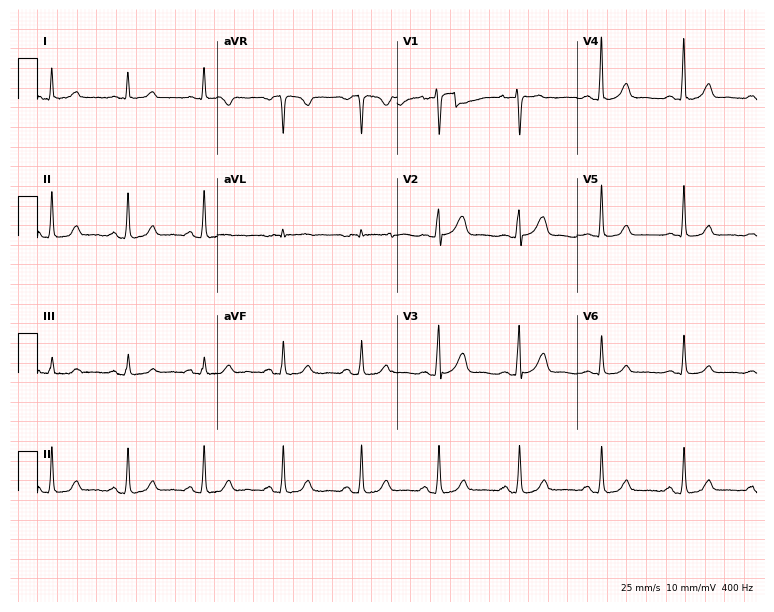
12-lead ECG from a woman, 58 years old. Labelled as a normal ECG.